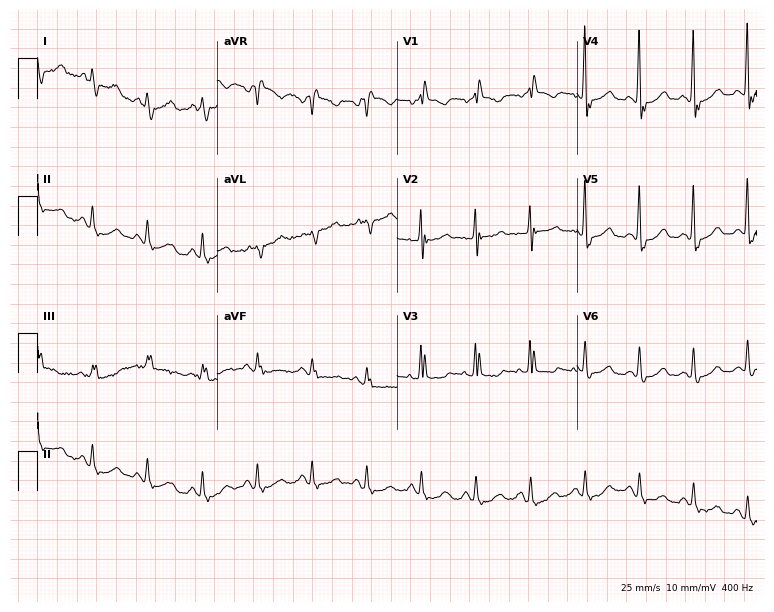
Standard 12-lead ECG recorded from a female patient, 77 years old (7.3-second recording at 400 Hz). The tracing shows sinus tachycardia (a sinus rate of 100 beats per minute or more).